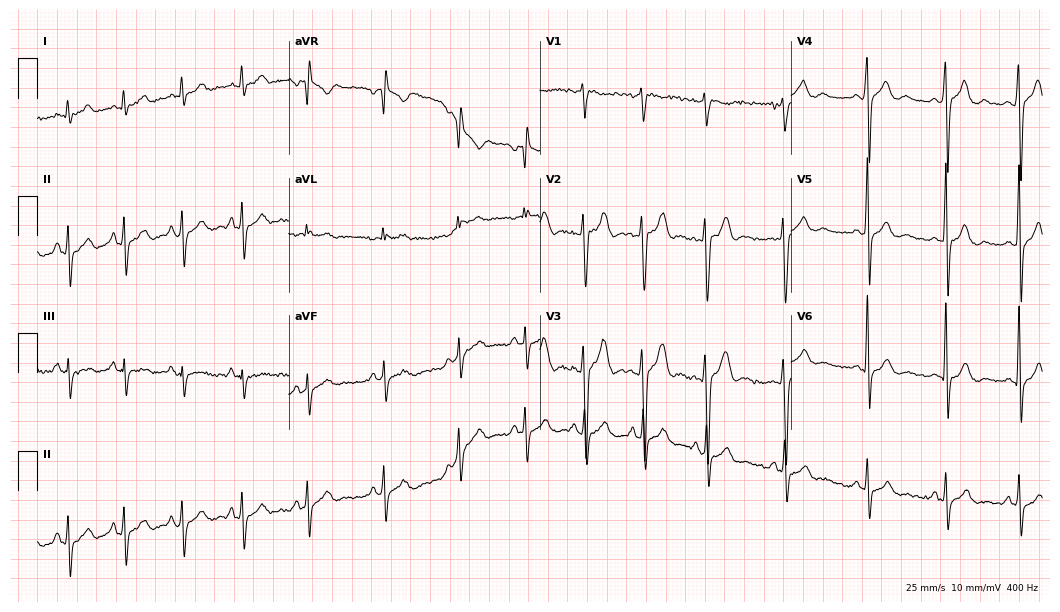
12-lead ECG from a 17-year-old male patient. No first-degree AV block, right bundle branch block, left bundle branch block, sinus bradycardia, atrial fibrillation or sinus tachycardia recorded for this tracing. Other findings, if any, are not listed.